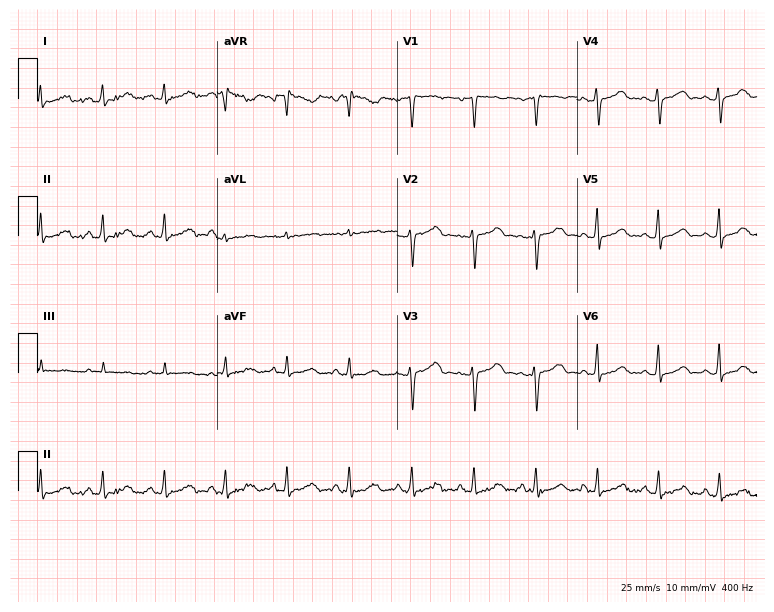
Standard 12-lead ECG recorded from a 43-year-old woman (7.3-second recording at 400 Hz). None of these six findings is recorded: first-degree AV block, right bundle branch block (RBBB), left bundle branch block (LBBB), sinus bradycardia, atrial fibrillation (AF), sinus tachycardia.